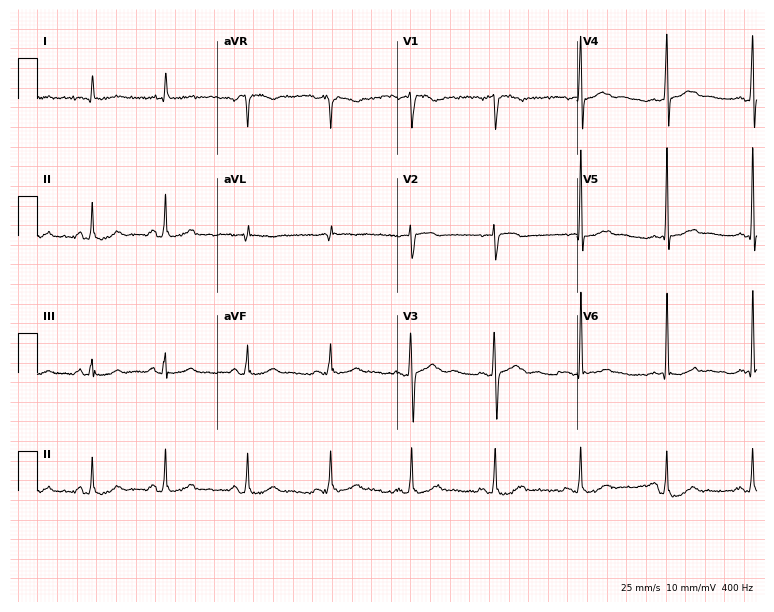
Electrocardiogram, a 50-year-old male patient. Of the six screened findings (first-degree AV block, right bundle branch block (RBBB), left bundle branch block (LBBB), sinus bradycardia, atrial fibrillation (AF), sinus tachycardia), none is recorded.